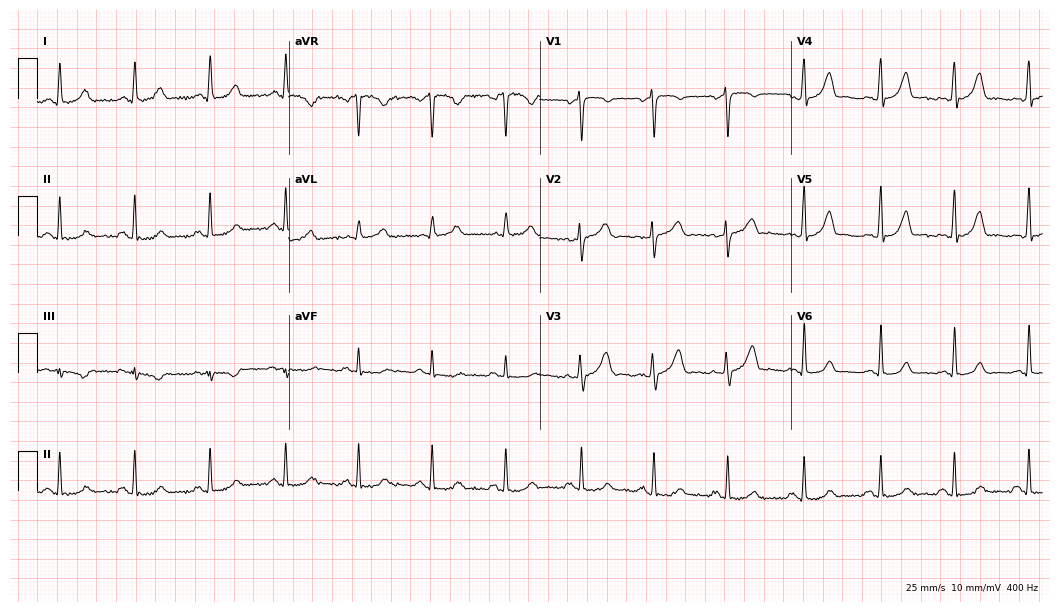
12-lead ECG from a woman, 37 years old. Labelled as a normal ECG.